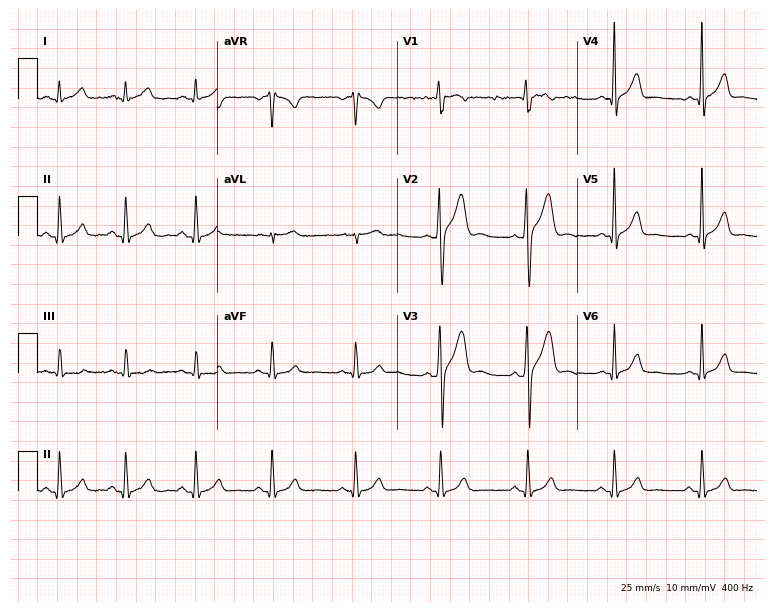
ECG (7.3-second recording at 400 Hz) — a male, 30 years old. Labelled as a normal ECG.